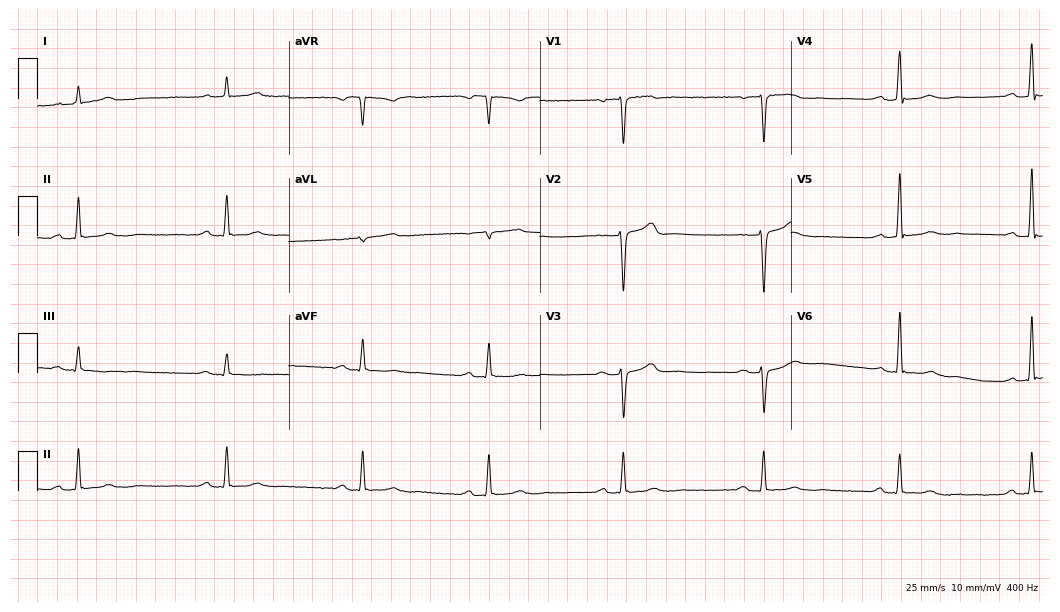
ECG — a male patient, 54 years old. Screened for six findings — first-degree AV block, right bundle branch block, left bundle branch block, sinus bradycardia, atrial fibrillation, sinus tachycardia — none is recorded.